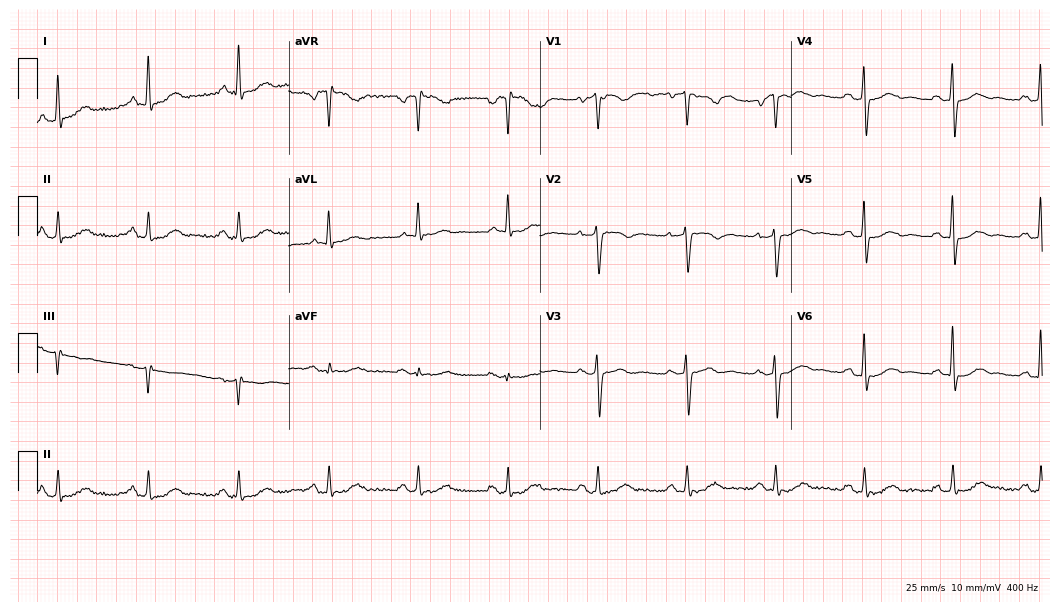
Electrocardiogram, a female patient, 68 years old. Of the six screened findings (first-degree AV block, right bundle branch block (RBBB), left bundle branch block (LBBB), sinus bradycardia, atrial fibrillation (AF), sinus tachycardia), none is recorded. Findings outside these six are not listed.